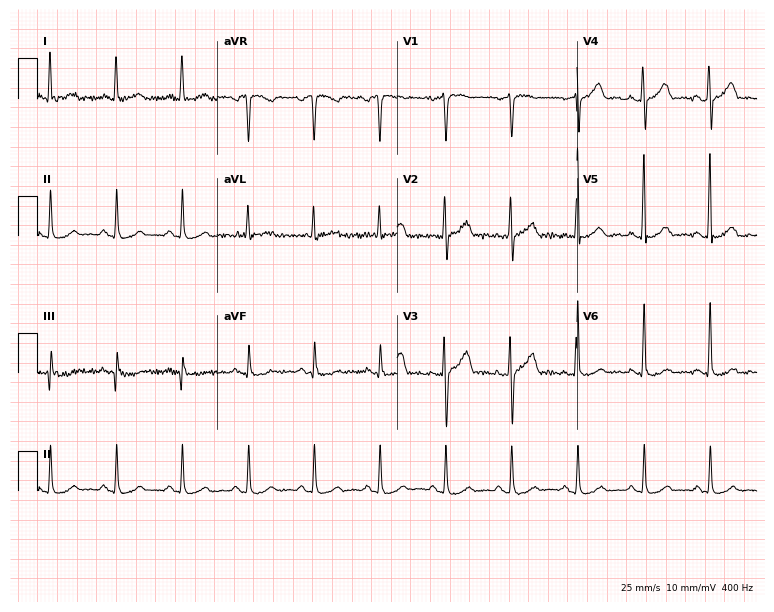
Electrocardiogram, a 74-year-old man. Overall reading on record: normal ECG.